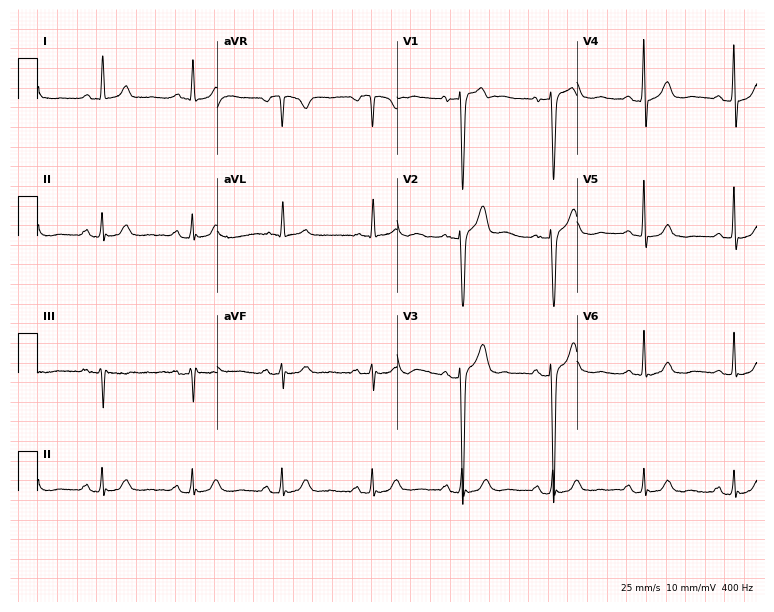
Resting 12-lead electrocardiogram (7.3-second recording at 400 Hz). Patient: a 60-year-old male. None of these six findings is recorded: first-degree AV block, right bundle branch block, left bundle branch block, sinus bradycardia, atrial fibrillation, sinus tachycardia.